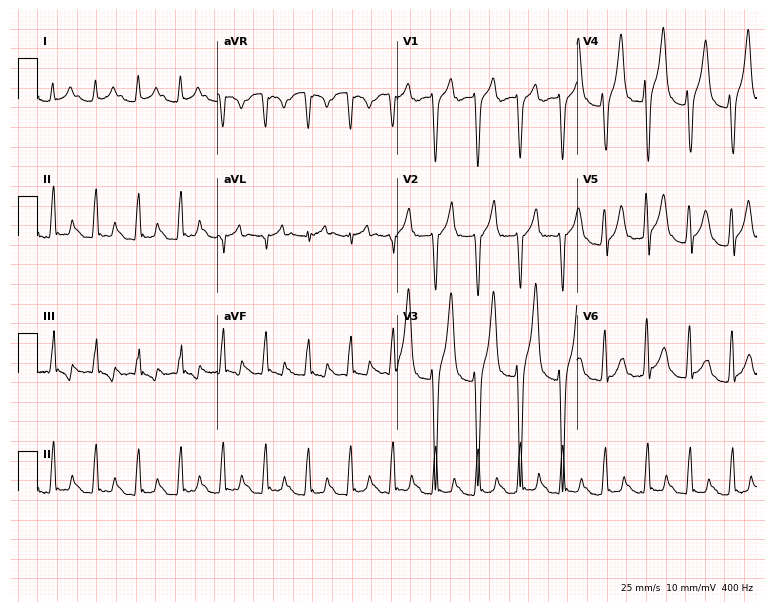
ECG (7.3-second recording at 400 Hz) — a 29-year-old man. Findings include sinus tachycardia (a sinus rate of 100 beats per minute or more).